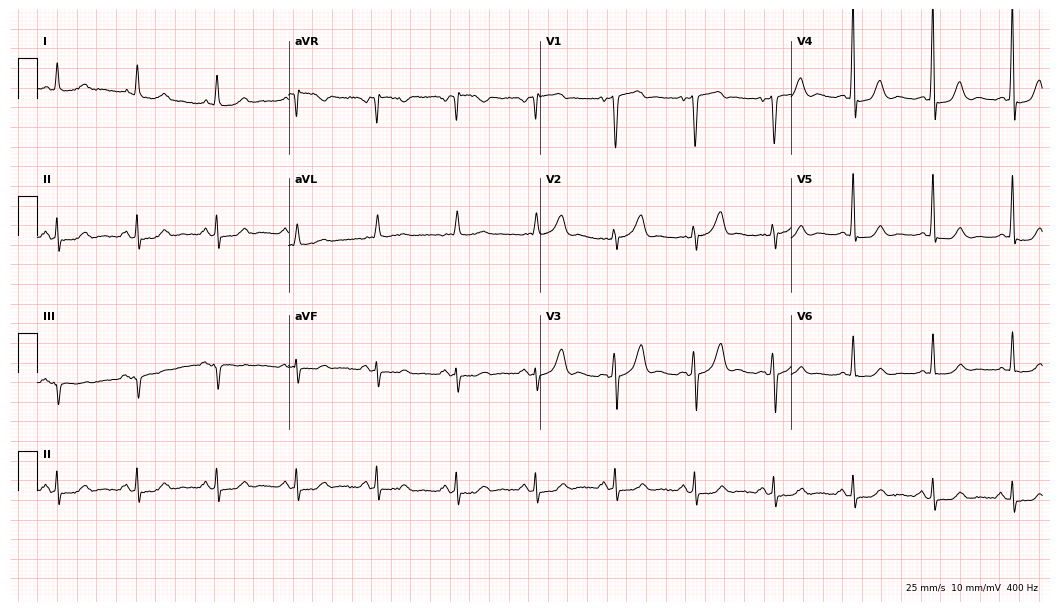
12-lead ECG (10.2-second recording at 400 Hz) from a male, 82 years old. Labelled as a normal ECG.